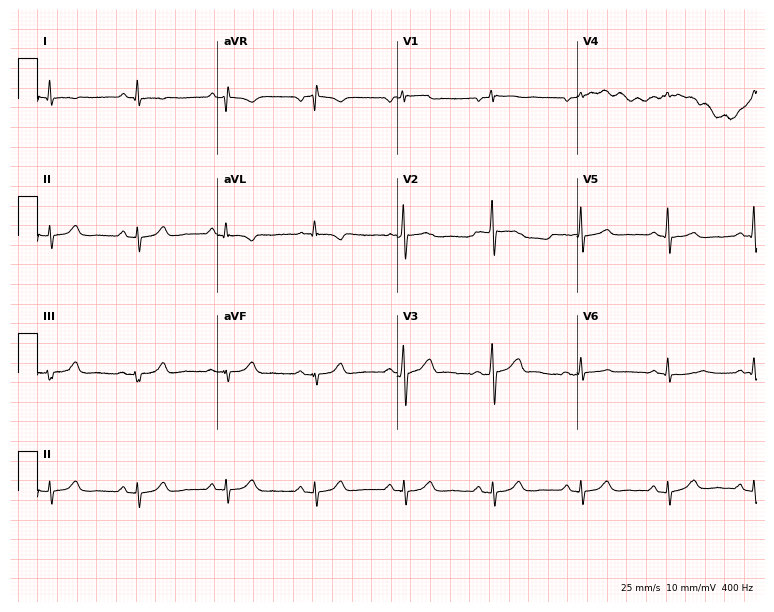
Electrocardiogram, a 53-year-old male patient. Of the six screened findings (first-degree AV block, right bundle branch block (RBBB), left bundle branch block (LBBB), sinus bradycardia, atrial fibrillation (AF), sinus tachycardia), none is recorded. Other findings, if any, are not listed.